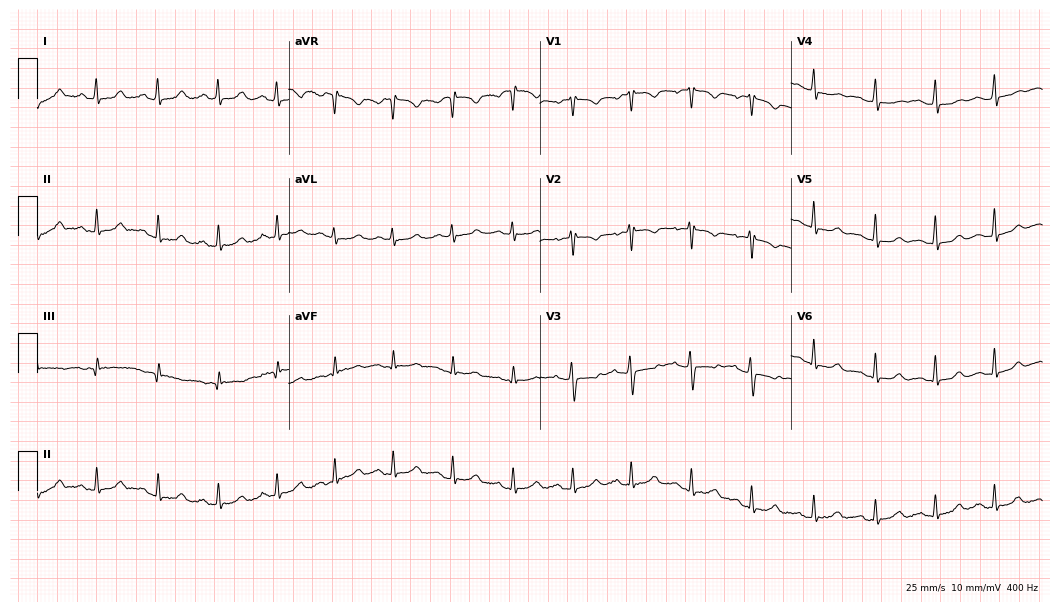
12-lead ECG from a woman, 39 years old (10.2-second recording at 400 Hz). Recorded interpretation: within normal limits.